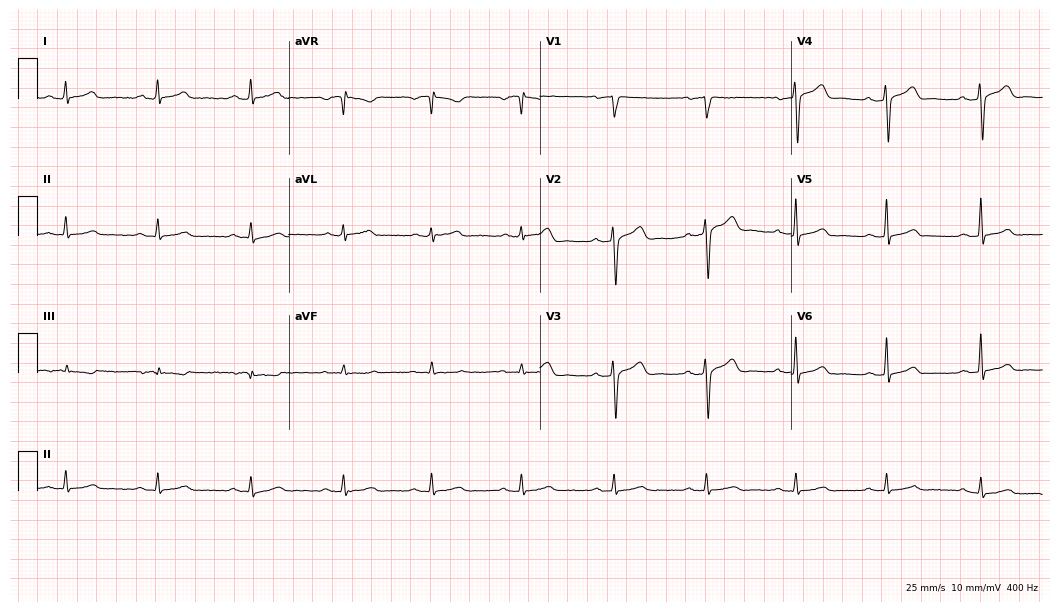
12-lead ECG from a male patient, 41 years old. Labelled as a normal ECG.